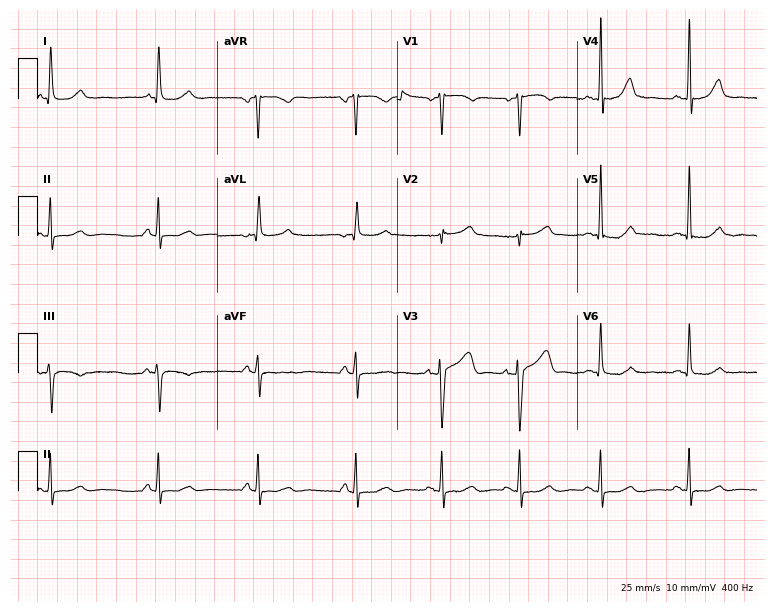
12-lead ECG (7.3-second recording at 400 Hz) from a 62-year-old woman. Labelled as a normal ECG.